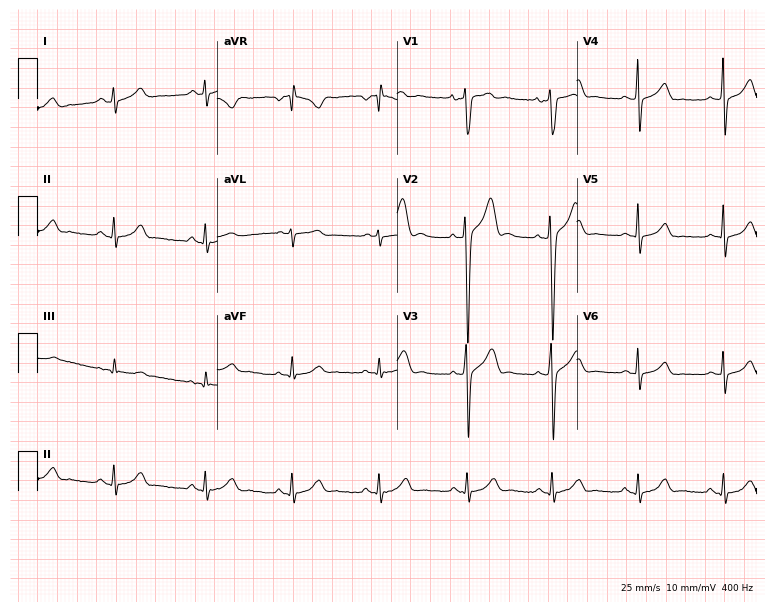
Electrocardiogram (7.3-second recording at 400 Hz), a male, 29 years old. Of the six screened findings (first-degree AV block, right bundle branch block (RBBB), left bundle branch block (LBBB), sinus bradycardia, atrial fibrillation (AF), sinus tachycardia), none is recorded. Only these six findings were labelled.